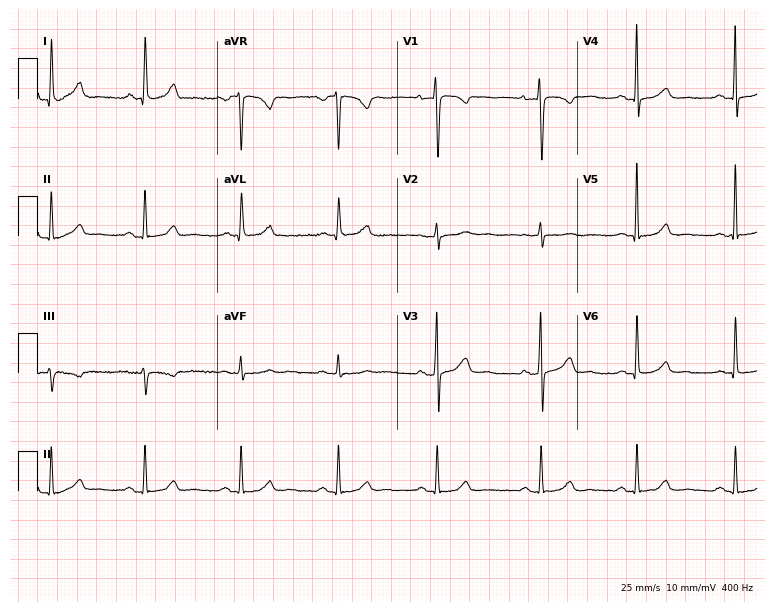
12-lead ECG from a female, 45 years old (7.3-second recording at 400 Hz). No first-degree AV block, right bundle branch block, left bundle branch block, sinus bradycardia, atrial fibrillation or sinus tachycardia recorded for this tracing.